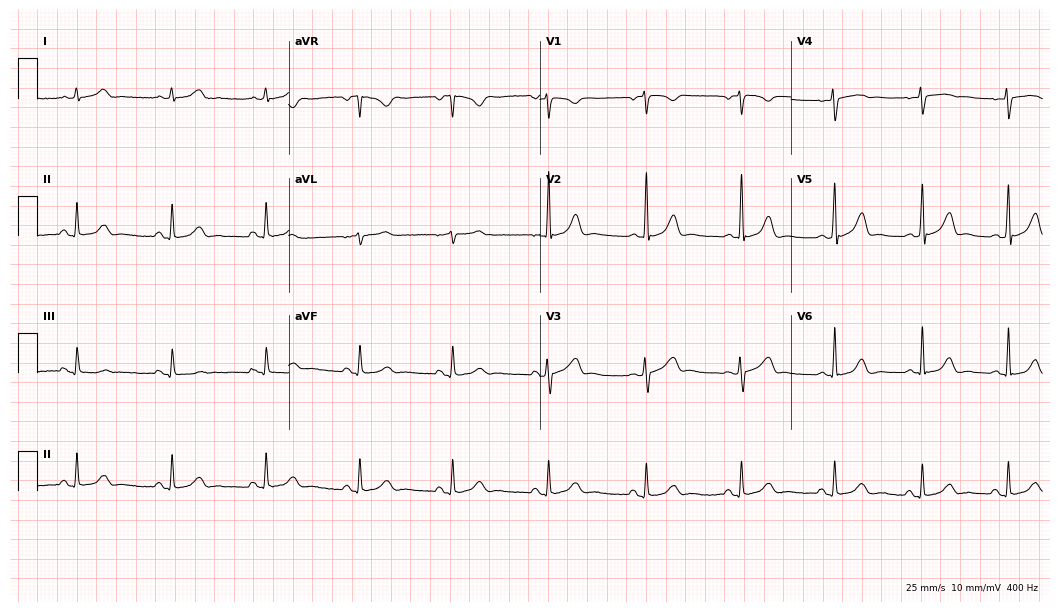
12-lead ECG from a woman, 48 years old. Screened for six findings — first-degree AV block, right bundle branch block, left bundle branch block, sinus bradycardia, atrial fibrillation, sinus tachycardia — none is recorded.